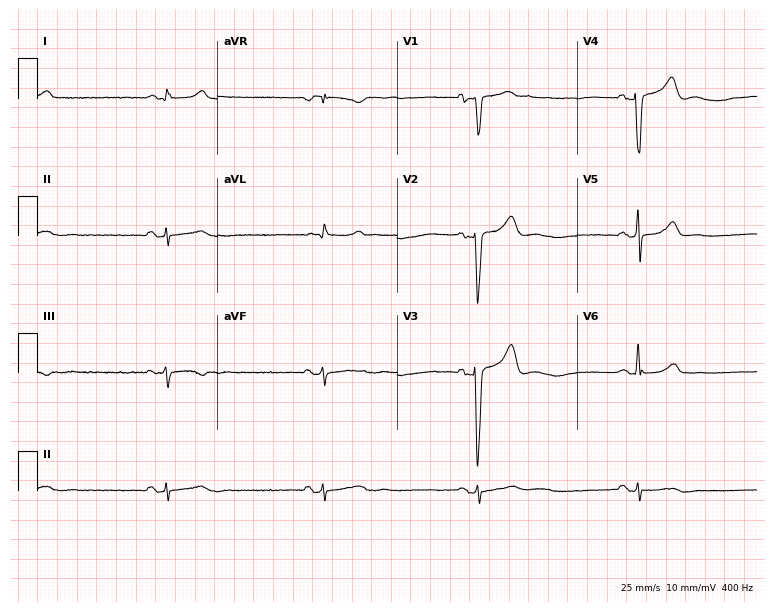
12-lead ECG (7.3-second recording at 400 Hz) from a 48-year-old man. Findings include sinus bradycardia (a sinus rate of 50 beats per minute or less).